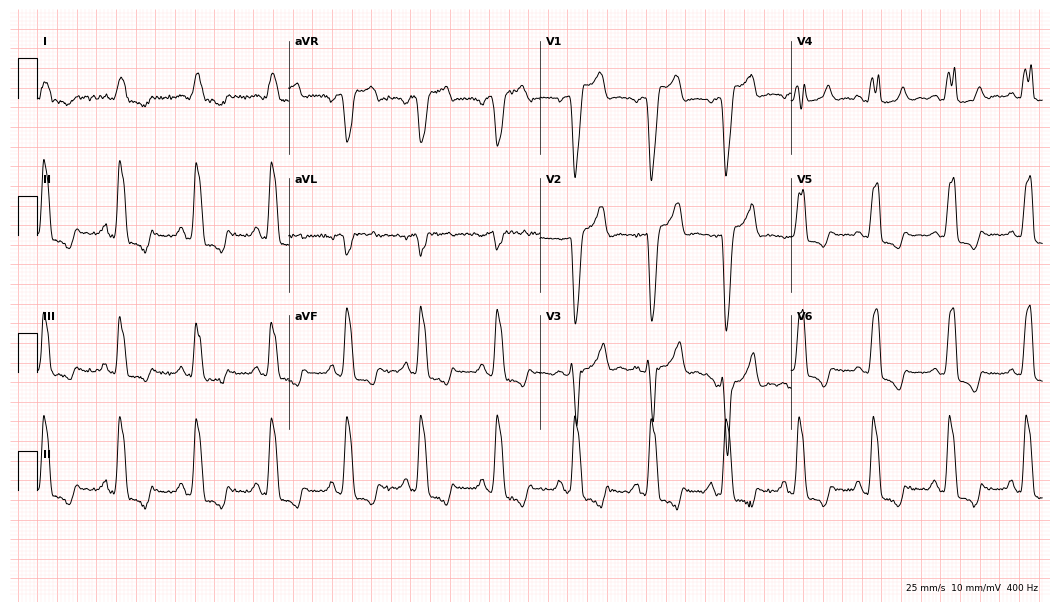
12-lead ECG from a 60-year-old male. Findings include left bundle branch block.